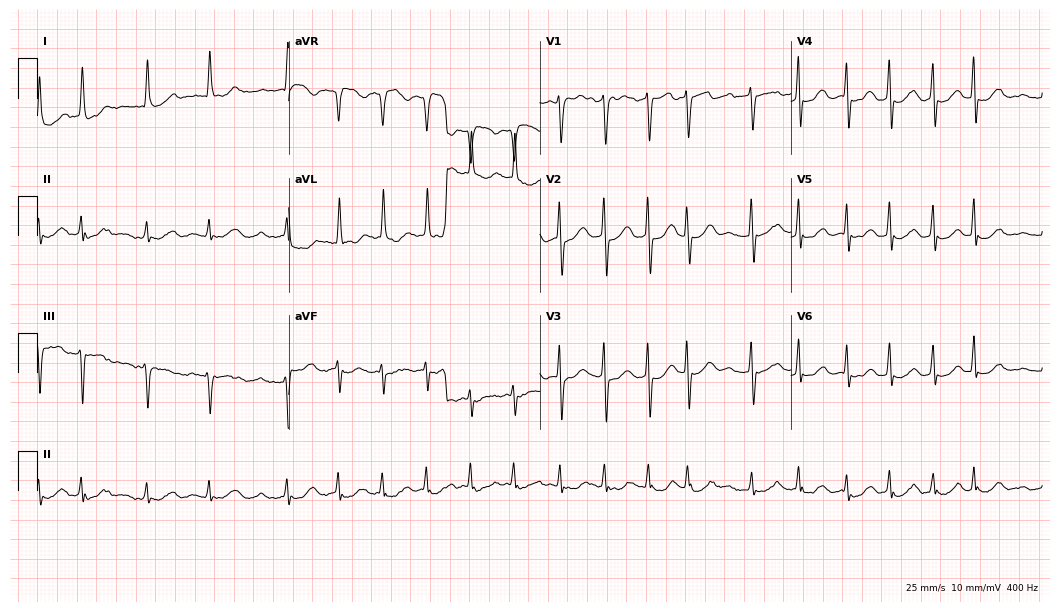
12-lead ECG from a female, 80 years old (10.2-second recording at 400 Hz). Shows atrial fibrillation (AF).